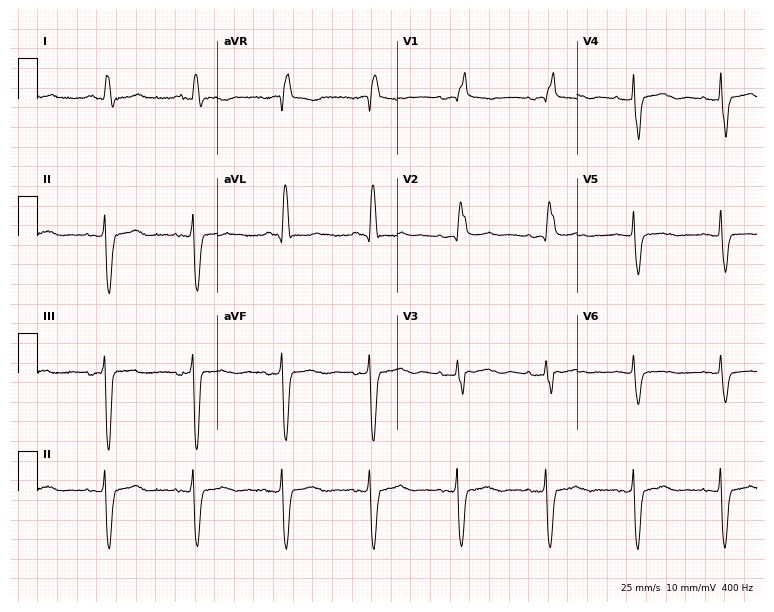
12-lead ECG from a woman, 78 years old (7.3-second recording at 400 Hz). No first-degree AV block, right bundle branch block (RBBB), left bundle branch block (LBBB), sinus bradycardia, atrial fibrillation (AF) or sinus tachycardia recorded for this tracing. Only these six findings were labelled.